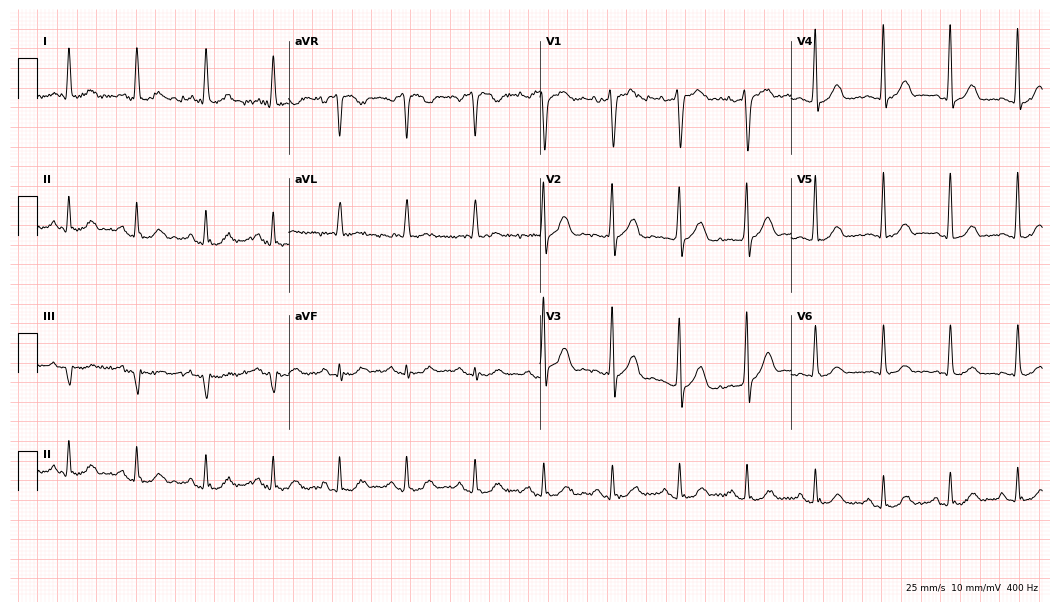
Resting 12-lead electrocardiogram. Patient: a woman, 66 years old. Read as a normal ECG.